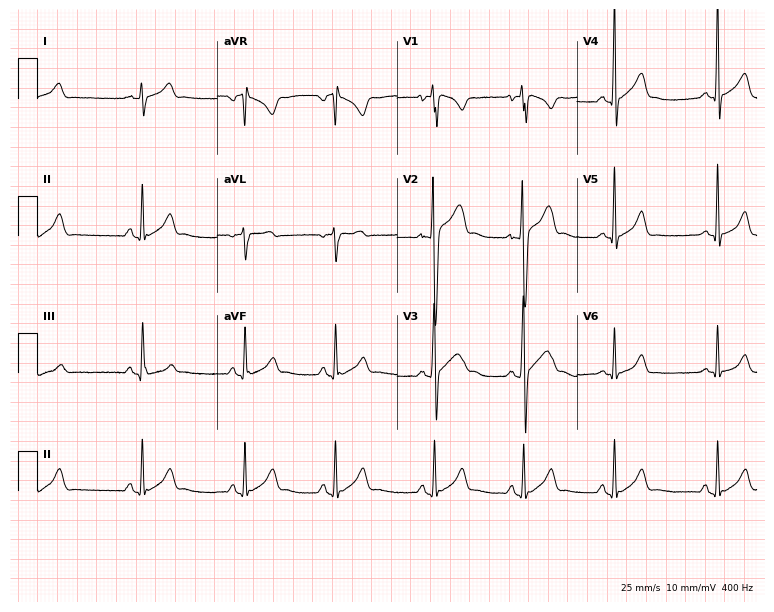
Resting 12-lead electrocardiogram. Patient: a 20-year-old male. Read as a normal ECG.